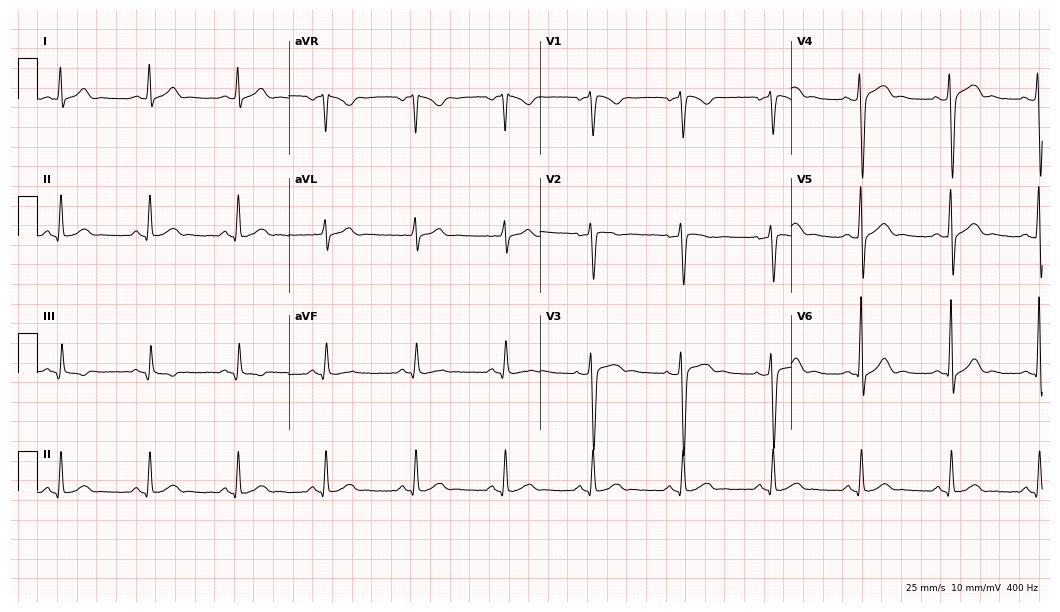
Electrocardiogram, a 26-year-old man. Of the six screened findings (first-degree AV block, right bundle branch block, left bundle branch block, sinus bradycardia, atrial fibrillation, sinus tachycardia), none is recorded. Only these six findings were labelled.